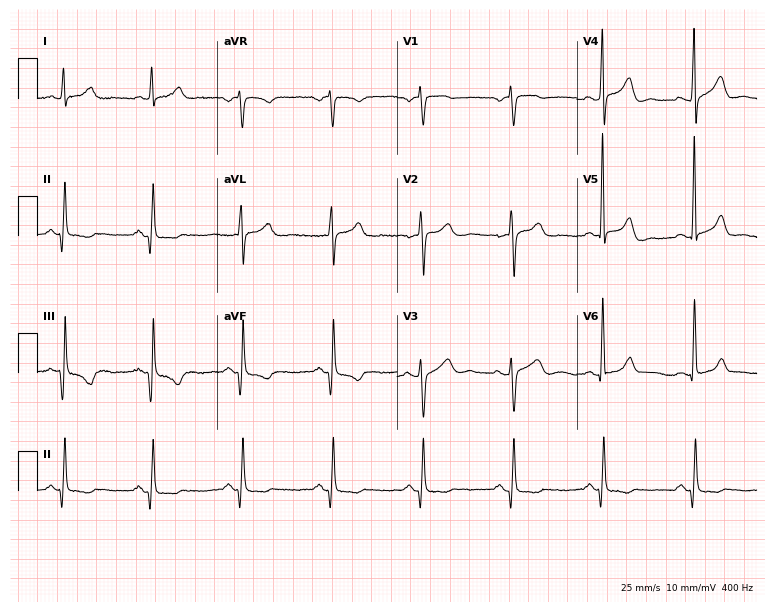
12-lead ECG from a 62-year-old female patient. Screened for six findings — first-degree AV block, right bundle branch block, left bundle branch block, sinus bradycardia, atrial fibrillation, sinus tachycardia — none is recorded.